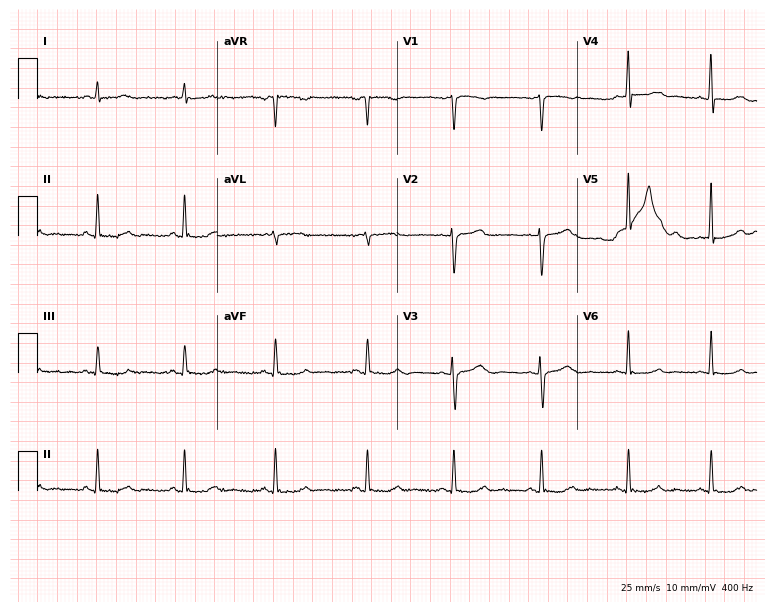
Resting 12-lead electrocardiogram (7.3-second recording at 400 Hz). Patient: a 55-year-old female. Read as a normal ECG.